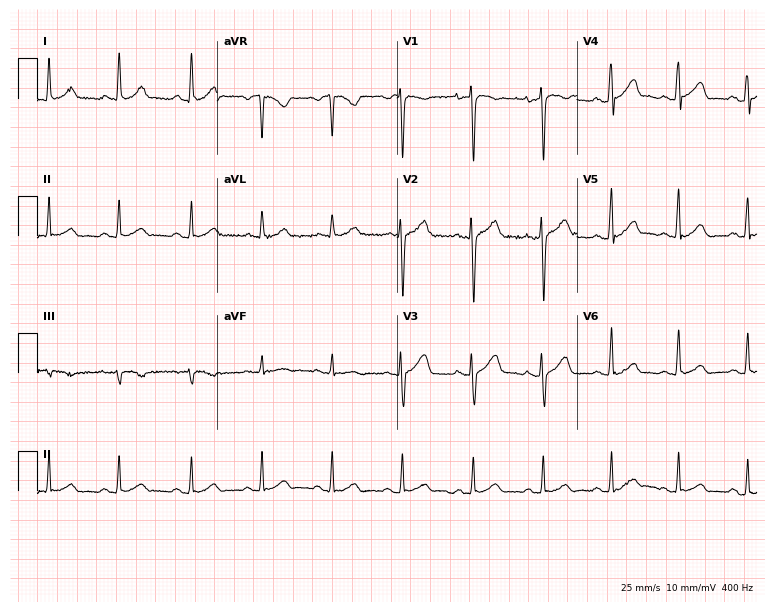
ECG — a man, 25 years old. Labelled as a normal ECG.